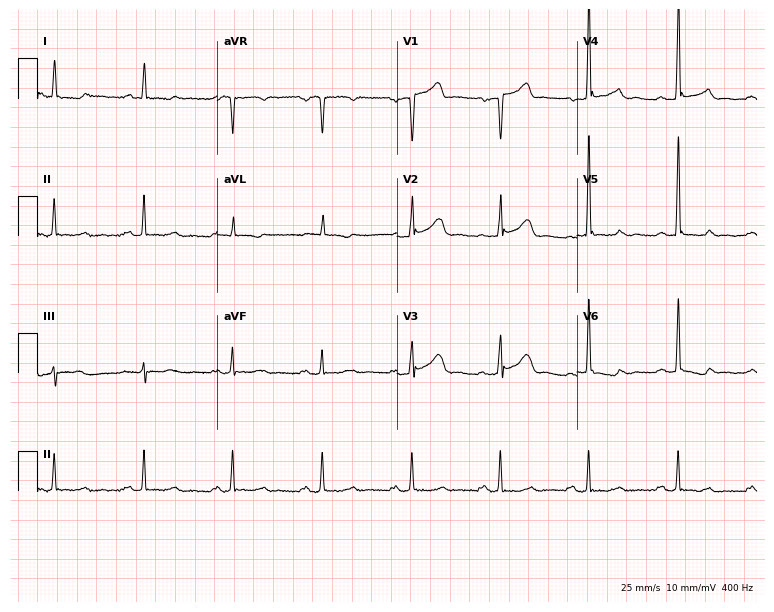
Electrocardiogram (7.3-second recording at 400 Hz), a 76-year-old male patient. Of the six screened findings (first-degree AV block, right bundle branch block, left bundle branch block, sinus bradycardia, atrial fibrillation, sinus tachycardia), none is recorded.